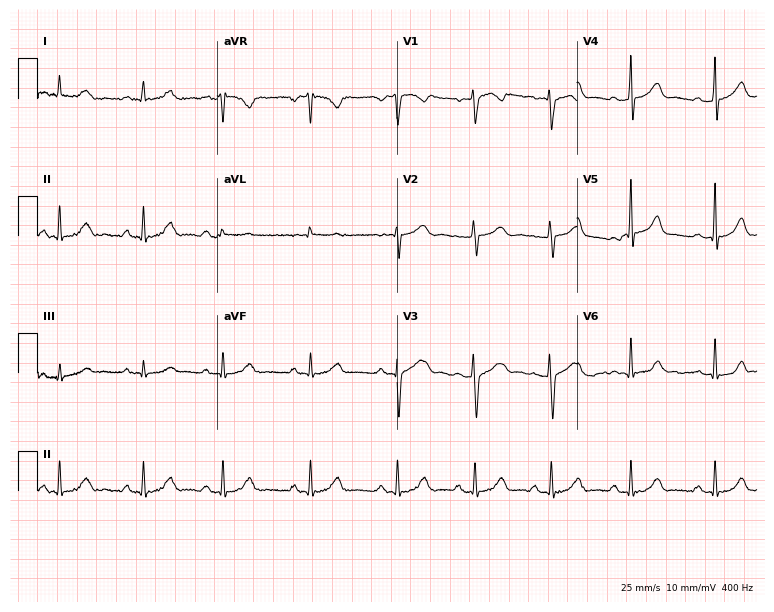
12-lead ECG (7.3-second recording at 400 Hz) from a woman, 20 years old. Screened for six findings — first-degree AV block, right bundle branch block, left bundle branch block, sinus bradycardia, atrial fibrillation, sinus tachycardia — none is recorded.